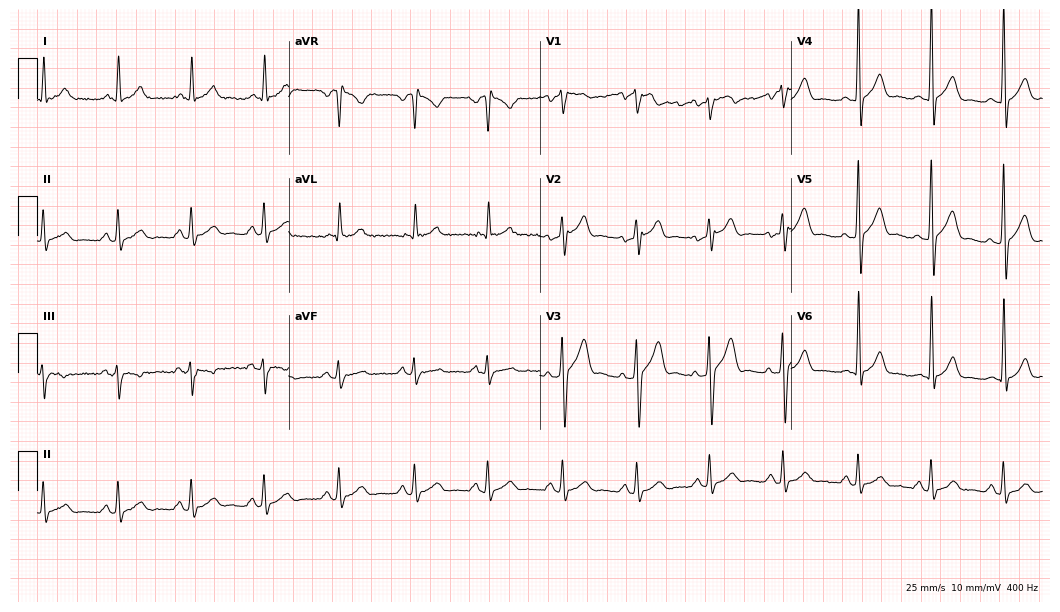
Resting 12-lead electrocardiogram. Patient: a 43-year-old male. Read as a normal ECG.